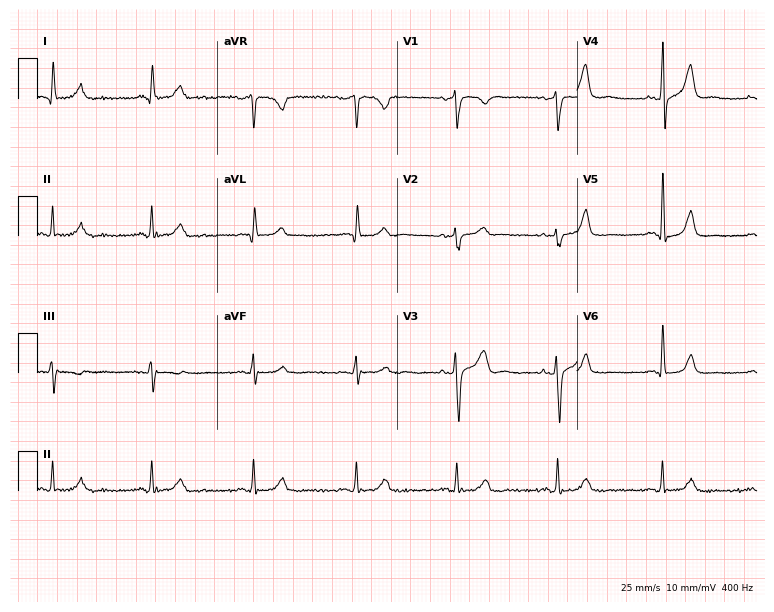
ECG (7.3-second recording at 400 Hz) — a male patient, 51 years old. Labelled as a normal ECG.